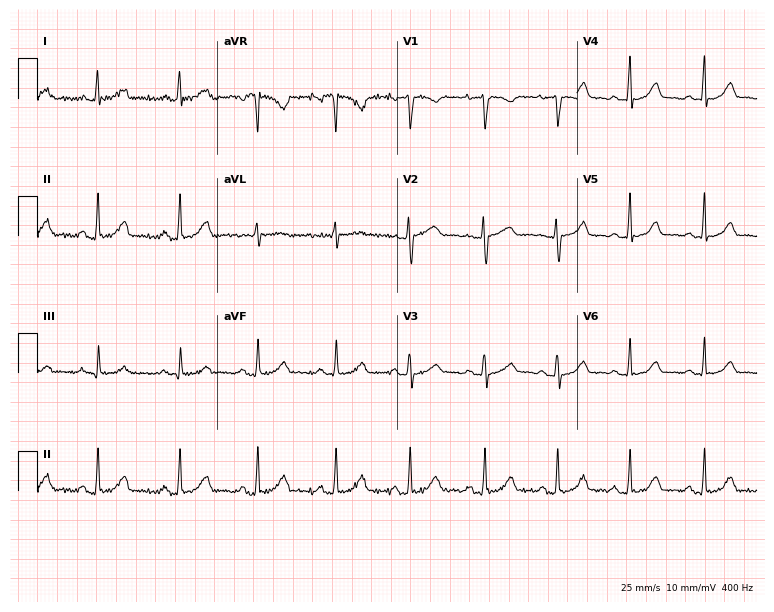
12-lead ECG from a 24-year-old female patient. Labelled as a normal ECG.